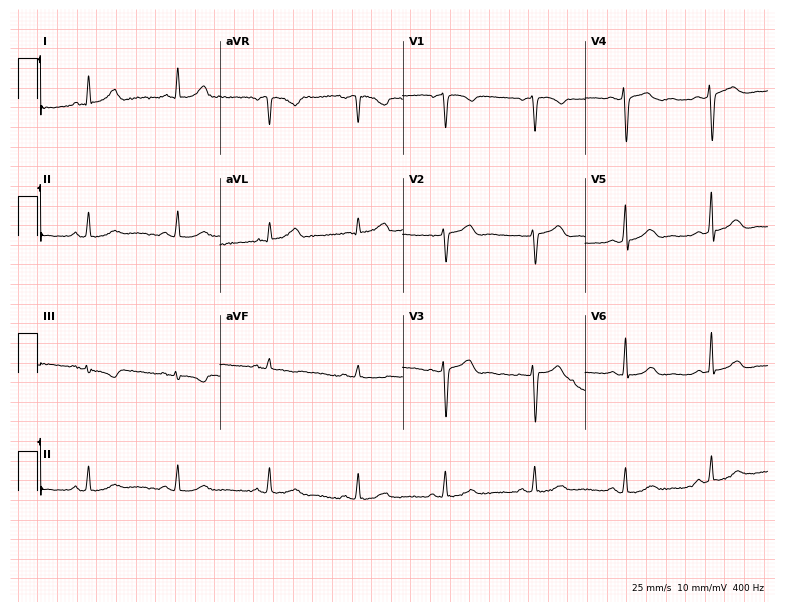
Resting 12-lead electrocardiogram. Patient: a female, 49 years old. Read as a normal ECG.